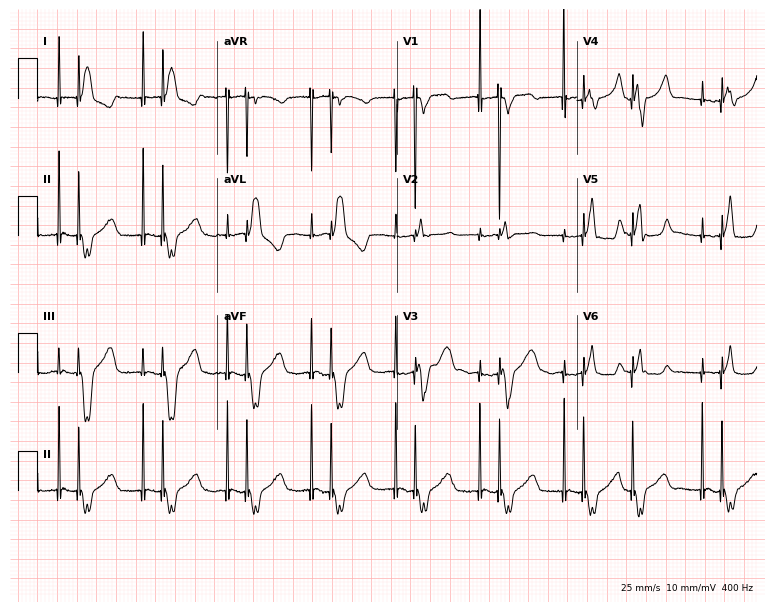
12-lead ECG from a man, 75 years old (7.3-second recording at 400 Hz). No first-degree AV block, right bundle branch block, left bundle branch block, sinus bradycardia, atrial fibrillation or sinus tachycardia recorded for this tracing. Findings outside these six are not listed.